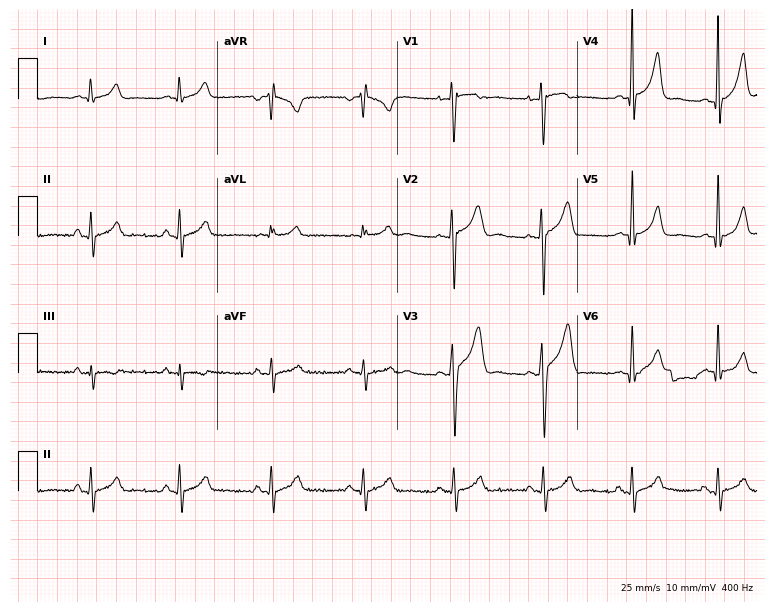
12-lead ECG from a 29-year-old man (7.3-second recording at 400 Hz). No first-degree AV block, right bundle branch block, left bundle branch block, sinus bradycardia, atrial fibrillation or sinus tachycardia recorded for this tracing.